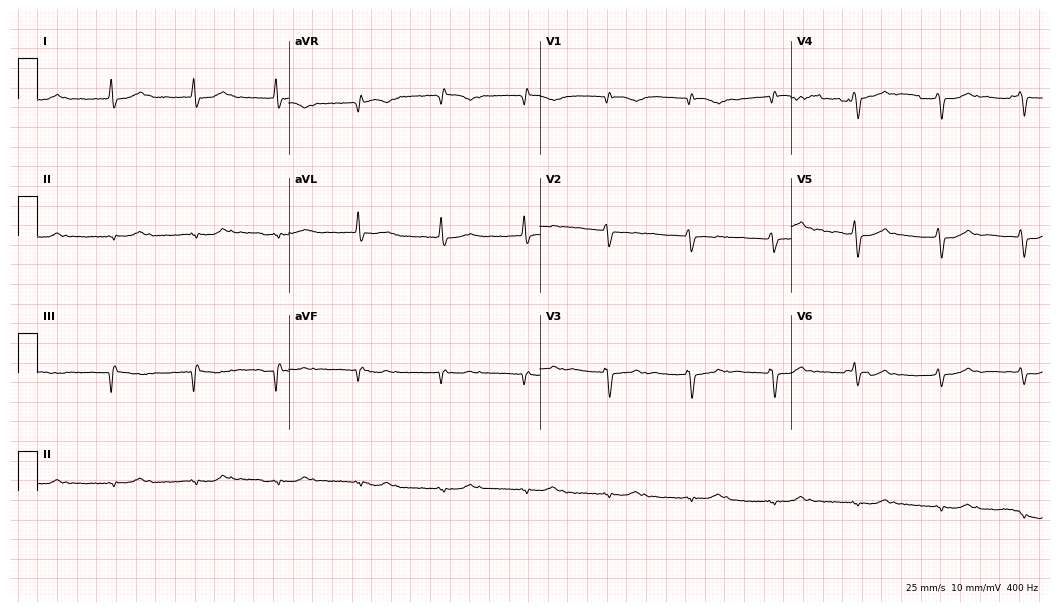
Resting 12-lead electrocardiogram (10.2-second recording at 400 Hz). Patient: a 79-year-old woman. None of these six findings is recorded: first-degree AV block, right bundle branch block, left bundle branch block, sinus bradycardia, atrial fibrillation, sinus tachycardia. Other findings, if any, are not listed.